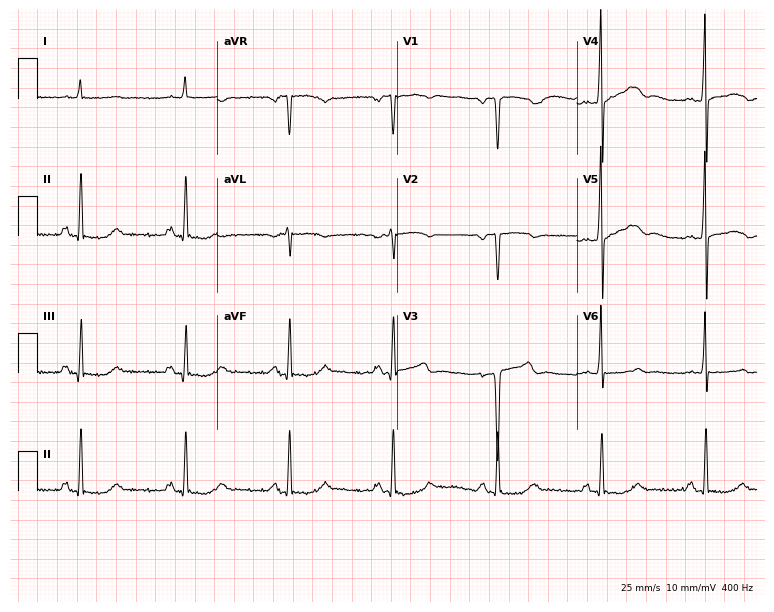
Standard 12-lead ECG recorded from a male patient, 77 years old (7.3-second recording at 400 Hz). Read as a normal ECG.